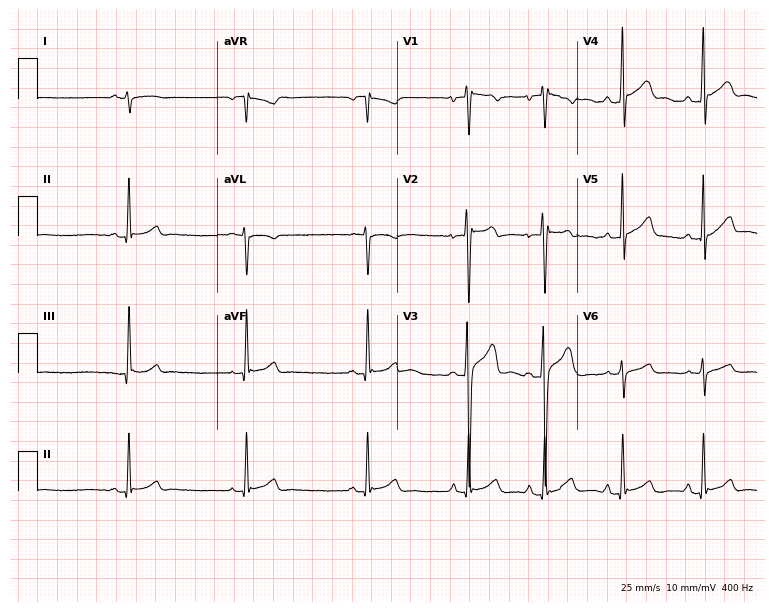
ECG — a 17-year-old man. Screened for six findings — first-degree AV block, right bundle branch block (RBBB), left bundle branch block (LBBB), sinus bradycardia, atrial fibrillation (AF), sinus tachycardia — none is recorded.